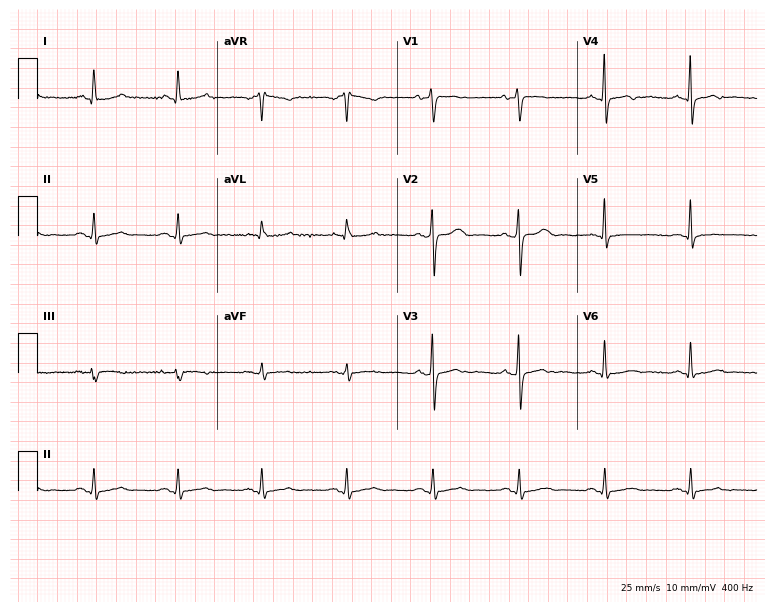
Resting 12-lead electrocardiogram (7.3-second recording at 400 Hz). Patient: a female, 53 years old. None of these six findings is recorded: first-degree AV block, right bundle branch block, left bundle branch block, sinus bradycardia, atrial fibrillation, sinus tachycardia. Only these six findings were labelled.